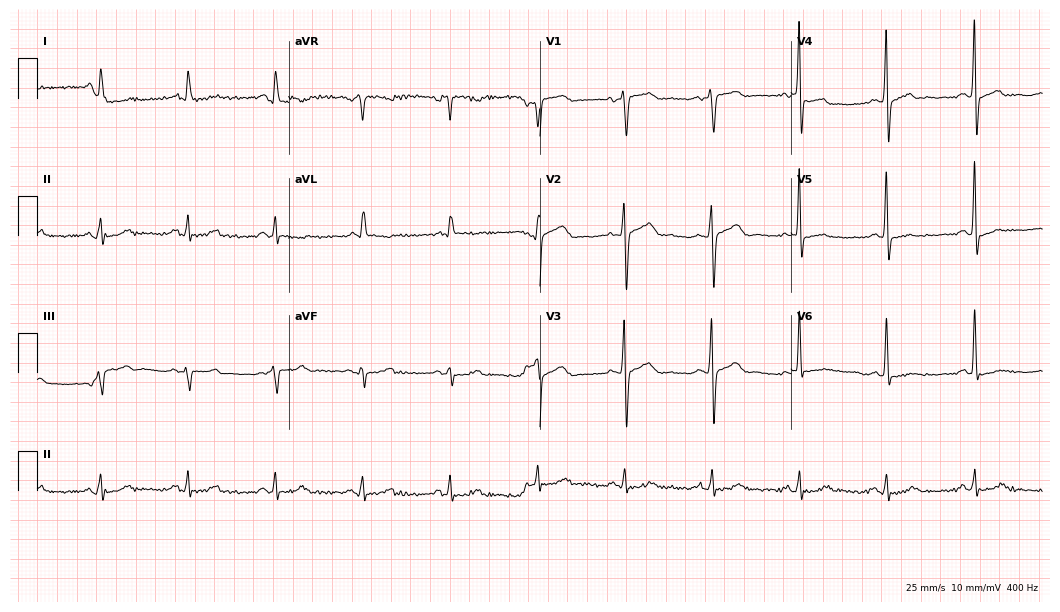
12-lead ECG from an 84-year-old man. No first-degree AV block, right bundle branch block, left bundle branch block, sinus bradycardia, atrial fibrillation or sinus tachycardia recorded for this tracing.